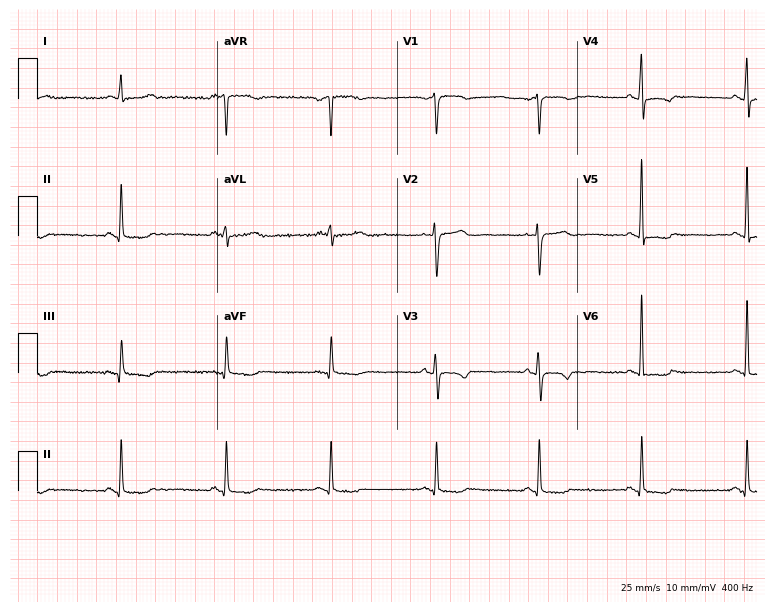
12-lead ECG (7.3-second recording at 400 Hz) from a 60-year-old female. Screened for six findings — first-degree AV block, right bundle branch block, left bundle branch block, sinus bradycardia, atrial fibrillation, sinus tachycardia — none is recorded.